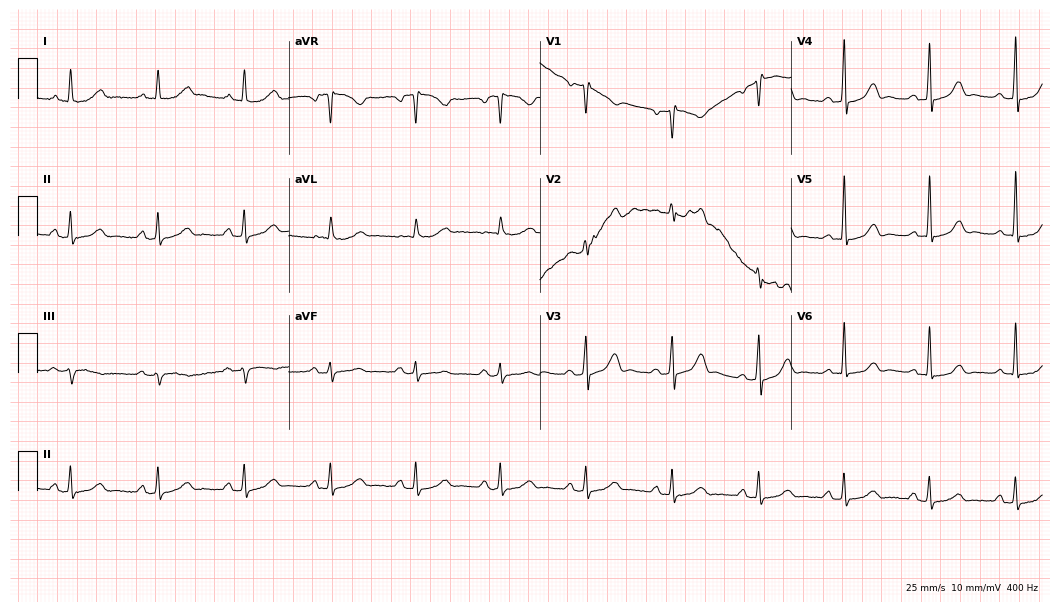
Resting 12-lead electrocardiogram. Patient: a 52-year-old male. Read as a normal ECG.